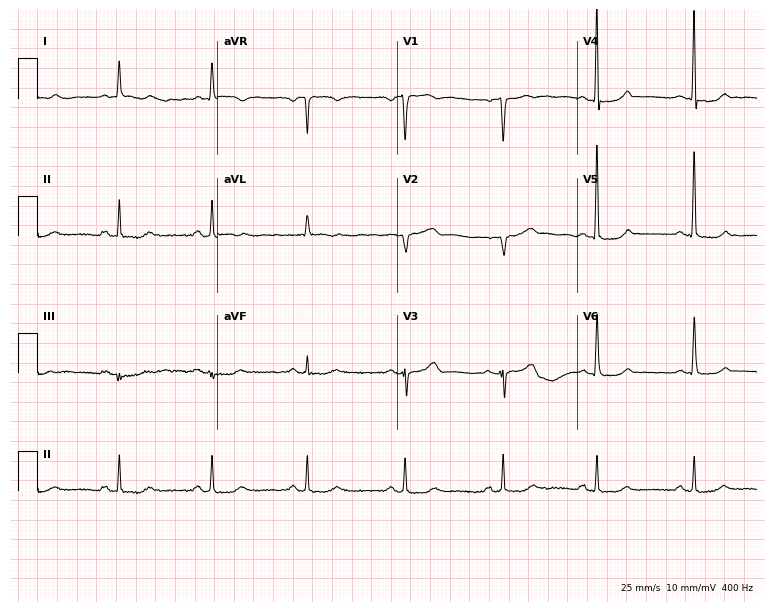
ECG — a 66-year-old female patient. Screened for six findings — first-degree AV block, right bundle branch block, left bundle branch block, sinus bradycardia, atrial fibrillation, sinus tachycardia — none is recorded. Only these six findings were labelled.